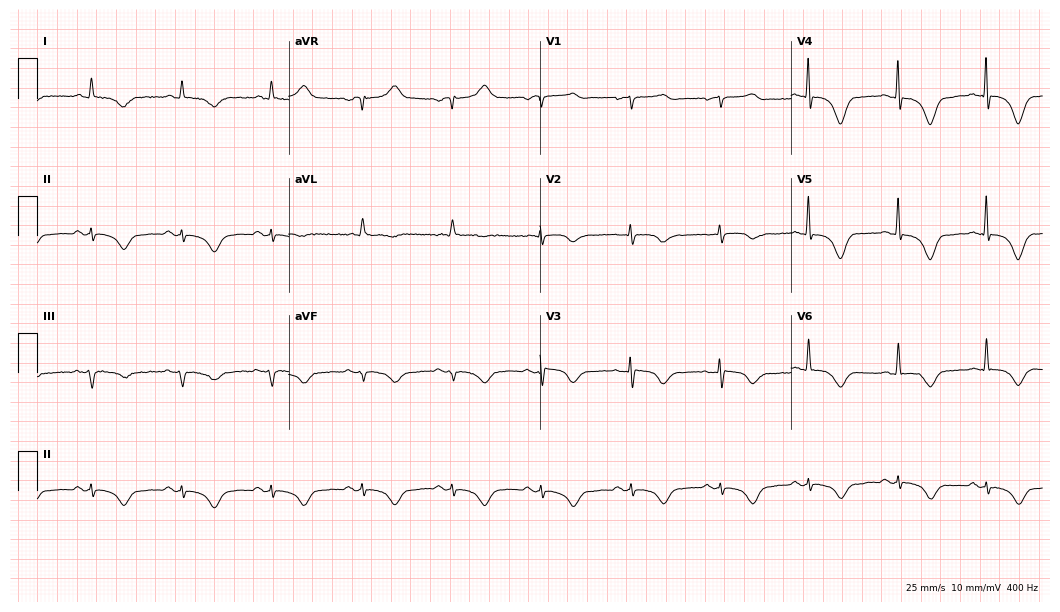
ECG — a female patient, 68 years old. Screened for six findings — first-degree AV block, right bundle branch block, left bundle branch block, sinus bradycardia, atrial fibrillation, sinus tachycardia — none is recorded.